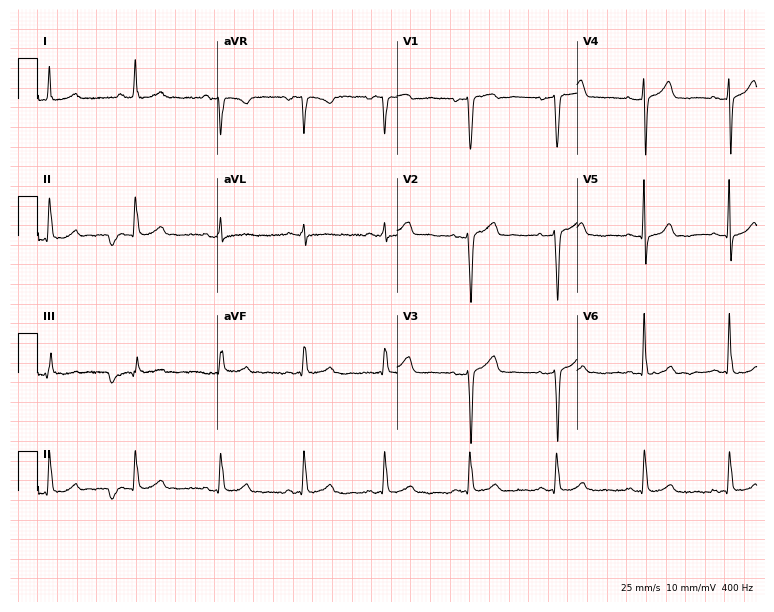
12-lead ECG from a female, 65 years old. Labelled as a normal ECG.